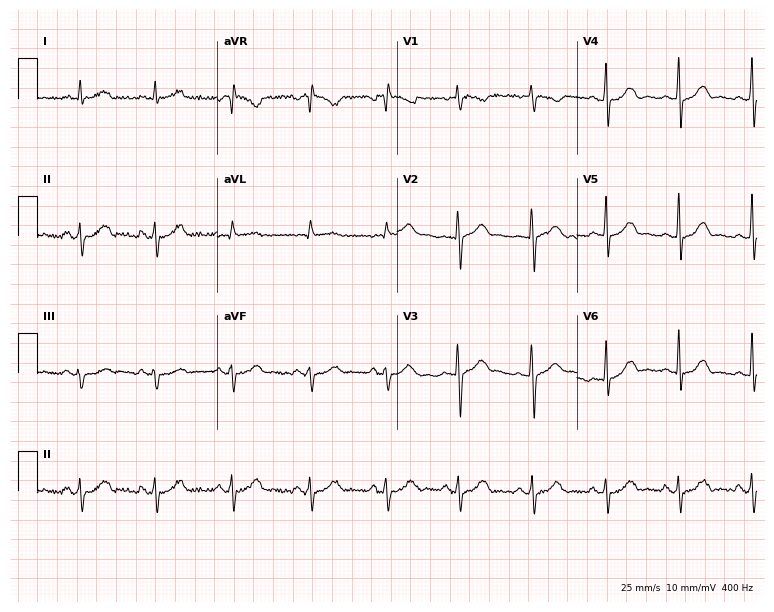
Electrocardiogram (7.3-second recording at 400 Hz), a female, 40 years old. Overall reading on record: normal ECG.